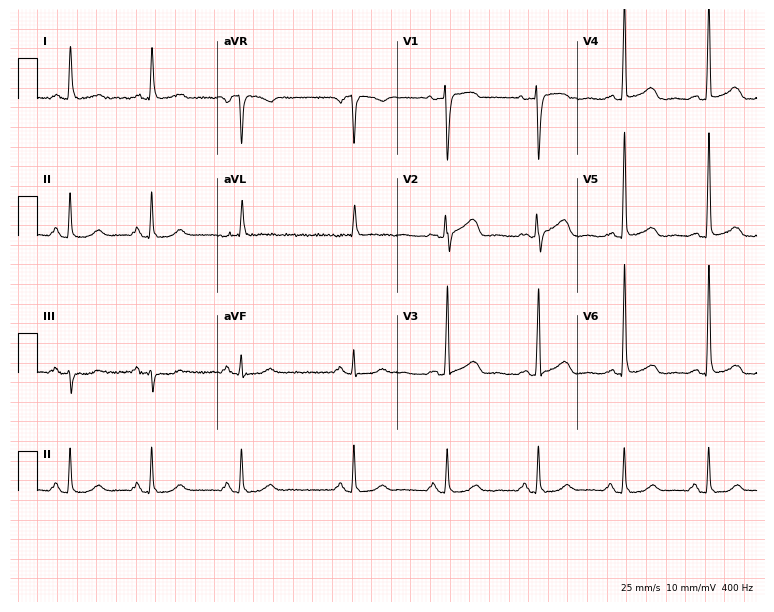
ECG — a woman, 50 years old. Labelled as a normal ECG.